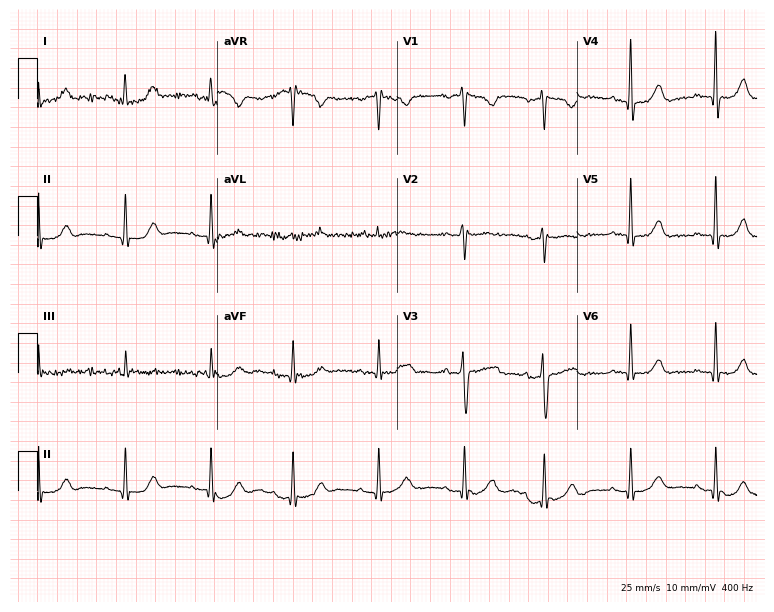
Electrocardiogram (7.3-second recording at 400 Hz), a 42-year-old woman. Of the six screened findings (first-degree AV block, right bundle branch block, left bundle branch block, sinus bradycardia, atrial fibrillation, sinus tachycardia), none is recorded.